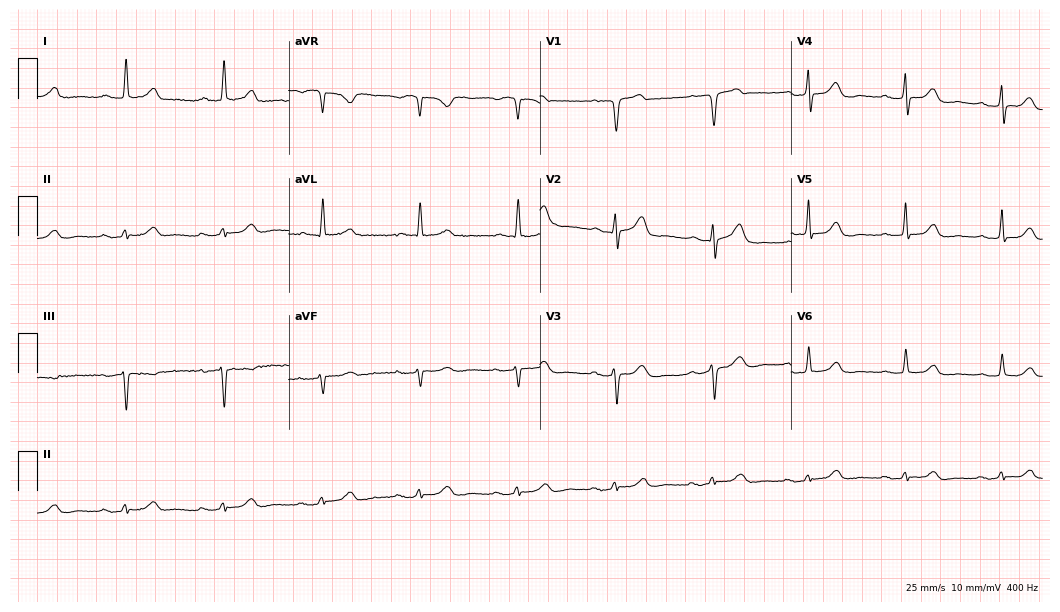
Electrocardiogram, an 83-year-old male. Overall reading on record: normal ECG.